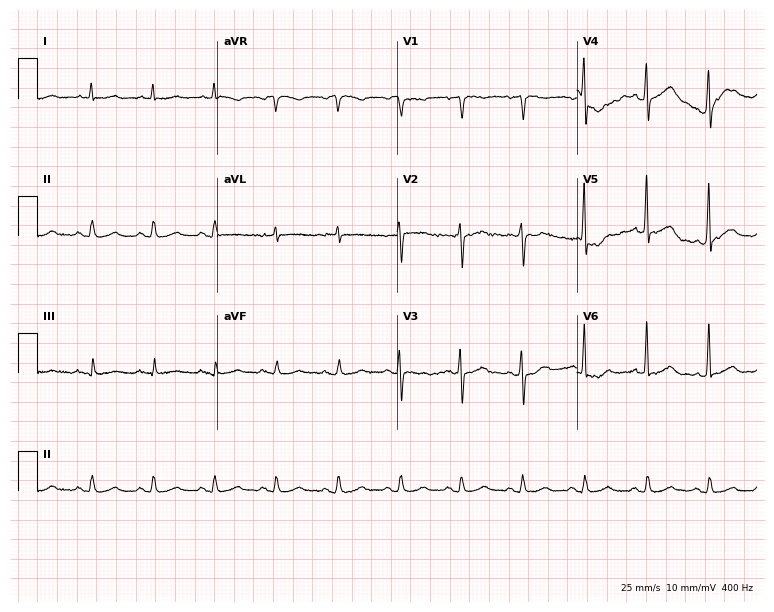
Electrocardiogram, a male, 83 years old. Of the six screened findings (first-degree AV block, right bundle branch block, left bundle branch block, sinus bradycardia, atrial fibrillation, sinus tachycardia), none is recorded. Only these six findings were labelled.